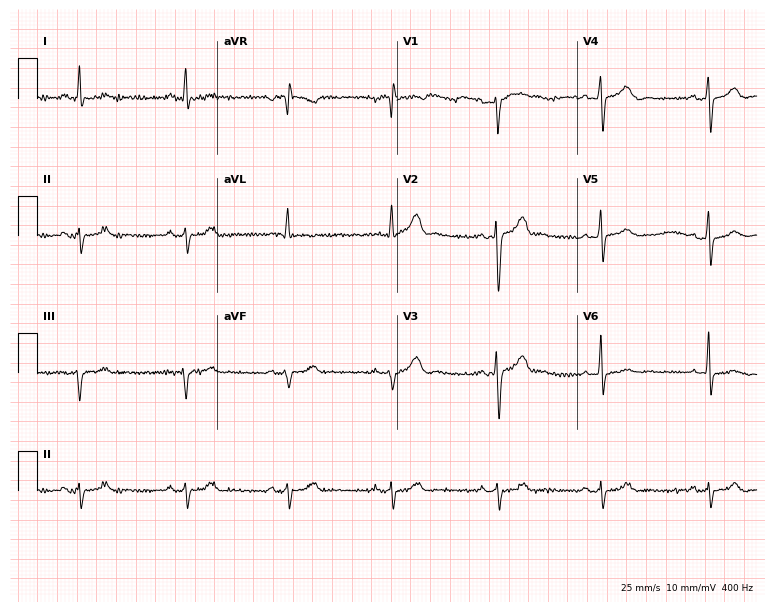
12-lead ECG from a man, 66 years old. No first-degree AV block, right bundle branch block (RBBB), left bundle branch block (LBBB), sinus bradycardia, atrial fibrillation (AF) or sinus tachycardia recorded for this tracing.